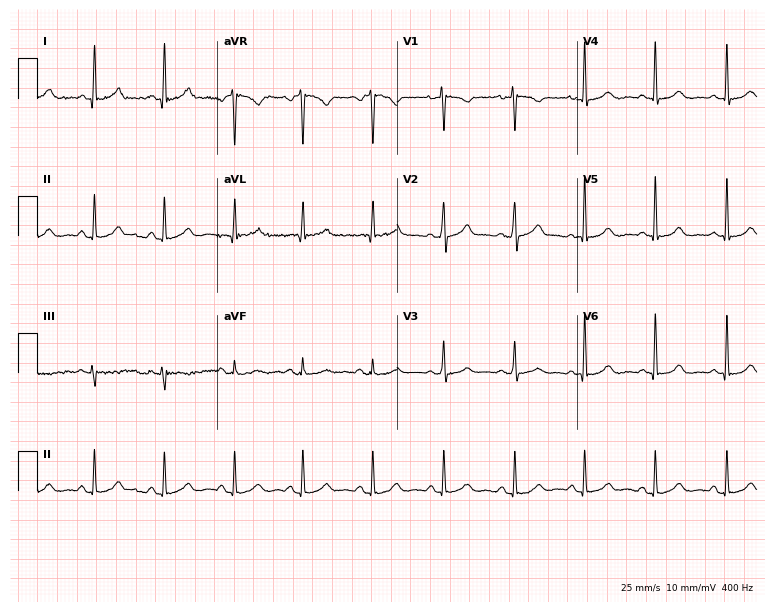
Electrocardiogram (7.3-second recording at 400 Hz), a 38-year-old woman. Overall reading on record: normal ECG.